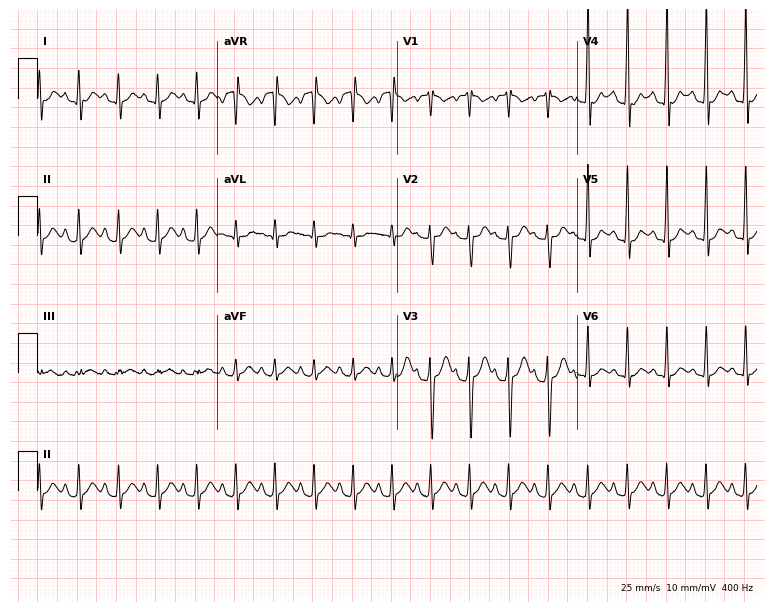
12-lead ECG (7.3-second recording at 400 Hz) from a female, 22 years old. Findings include sinus tachycardia (a sinus rate of 100 beats per minute or more).